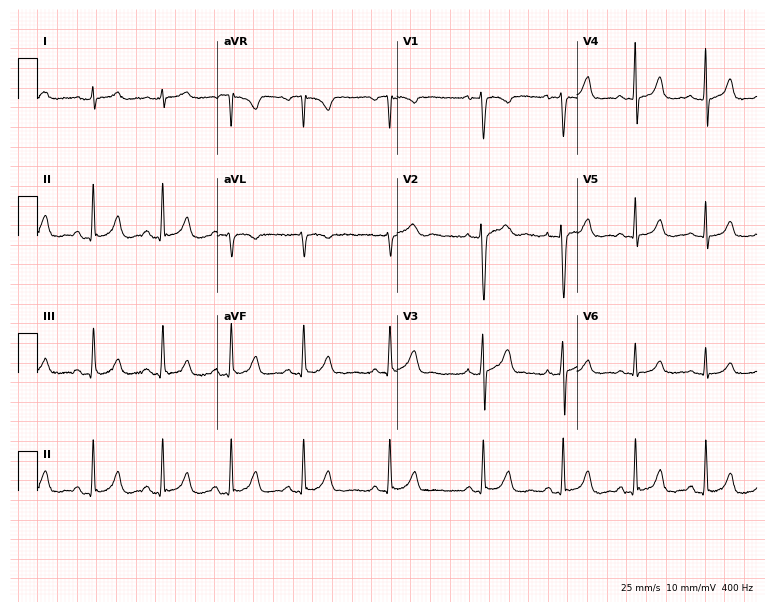
Resting 12-lead electrocardiogram (7.3-second recording at 400 Hz). Patient: a 25-year-old female. Read as a normal ECG.